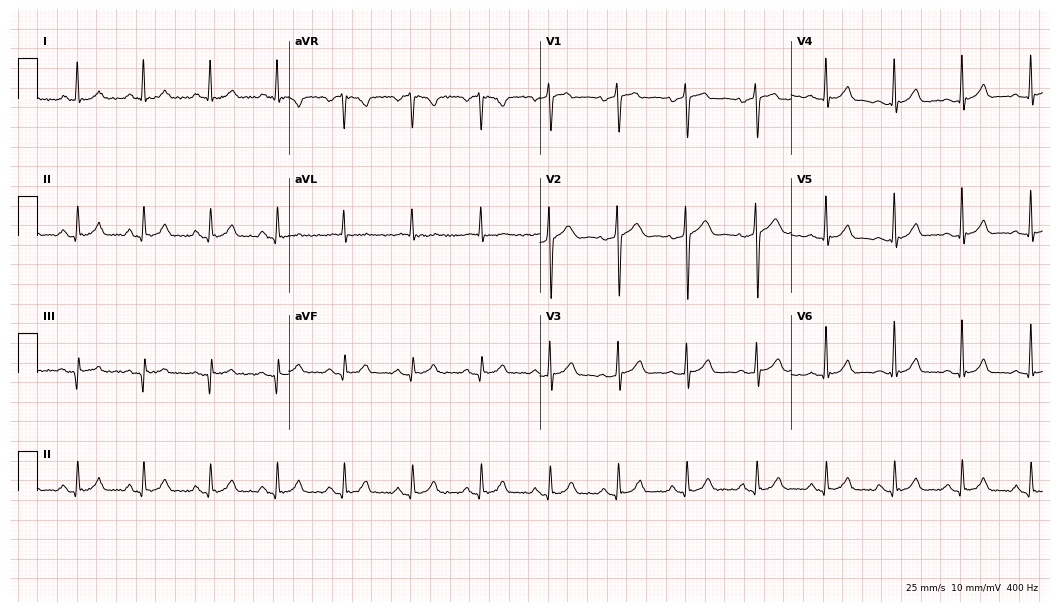
Electrocardiogram, a 51-year-old male patient. Of the six screened findings (first-degree AV block, right bundle branch block, left bundle branch block, sinus bradycardia, atrial fibrillation, sinus tachycardia), none is recorded. Findings outside these six are not listed.